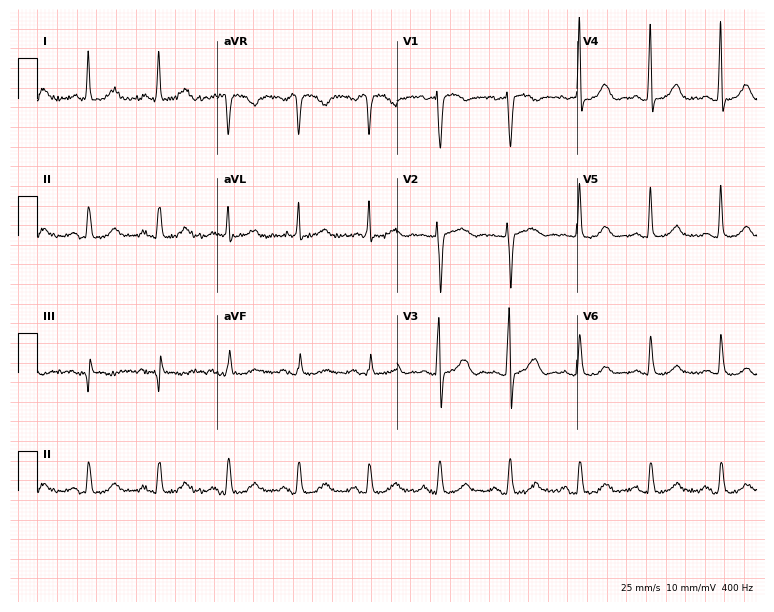
Electrocardiogram (7.3-second recording at 400 Hz), a female, 79 years old. Of the six screened findings (first-degree AV block, right bundle branch block, left bundle branch block, sinus bradycardia, atrial fibrillation, sinus tachycardia), none is recorded. Other findings, if any, are not listed.